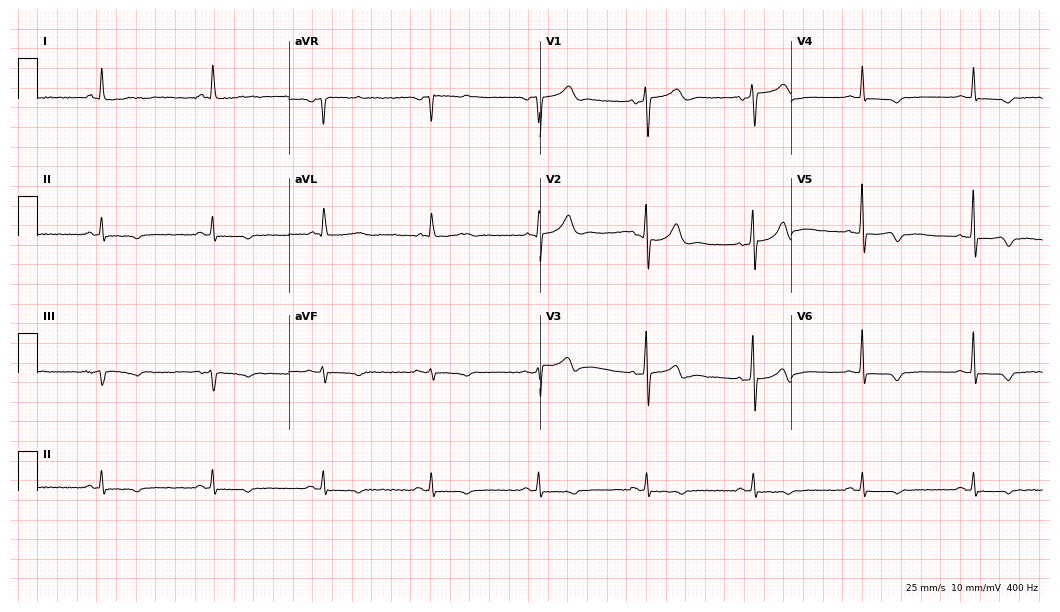
12-lead ECG (10.2-second recording at 400 Hz) from a male, 67 years old. Screened for six findings — first-degree AV block, right bundle branch block, left bundle branch block, sinus bradycardia, atrial fibrillation, sinus tachycardia — none is recorded. Other findings, if any, are not listed.